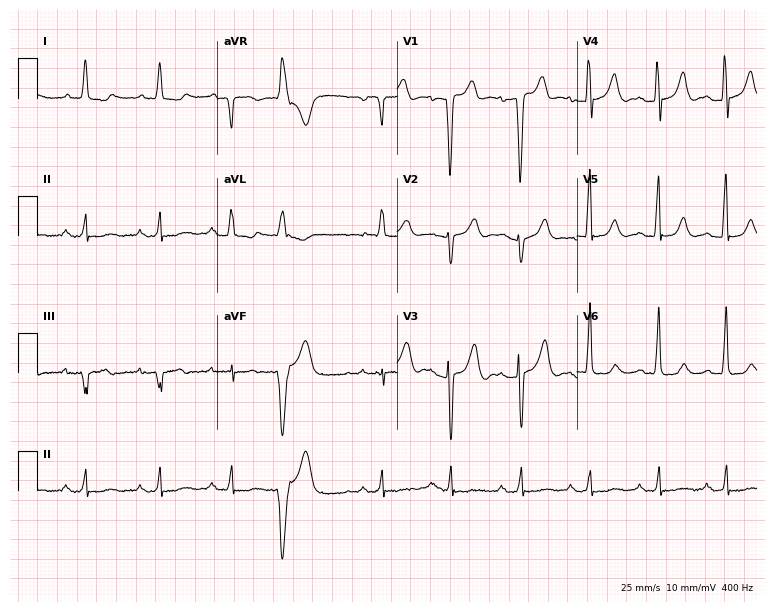
Resting 12-lead electrocardiogram (7.3-second recording at 400 Hz). Patient: a male, 76 years old. None of these six findings is recorded: first-degree AV block, right bundle branch block, left bundle branch block, sinus bradycardia, atrial fibrillation, sinus tachycardia. Other findings, if any, are not listed.